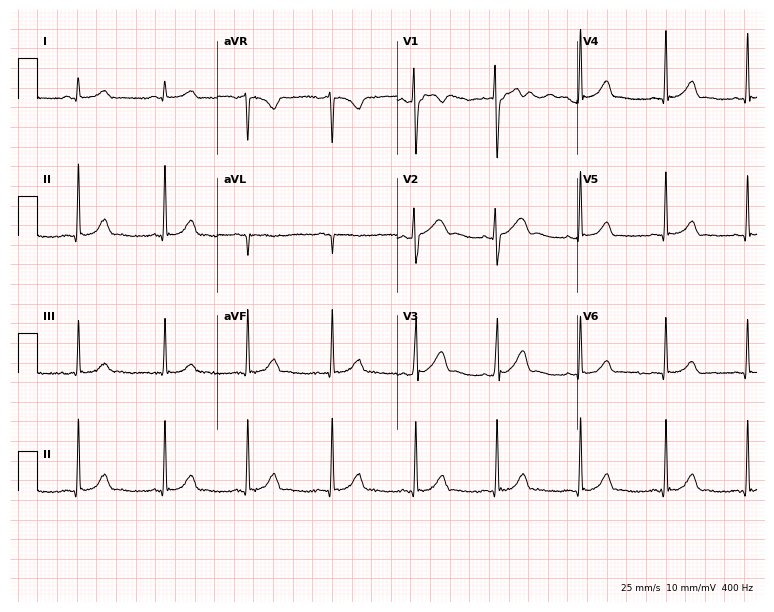
Standard 12-lead ECG recorded from a 25-year-old female. None of these six findings is recorded: first-degree AV block, right bundle branch block (RBBB), left bundle branch block (LBBB), sinus bradycardia, atrial fibrillation (AF), sinus tachycardia. Other findings, if any, are not listed.